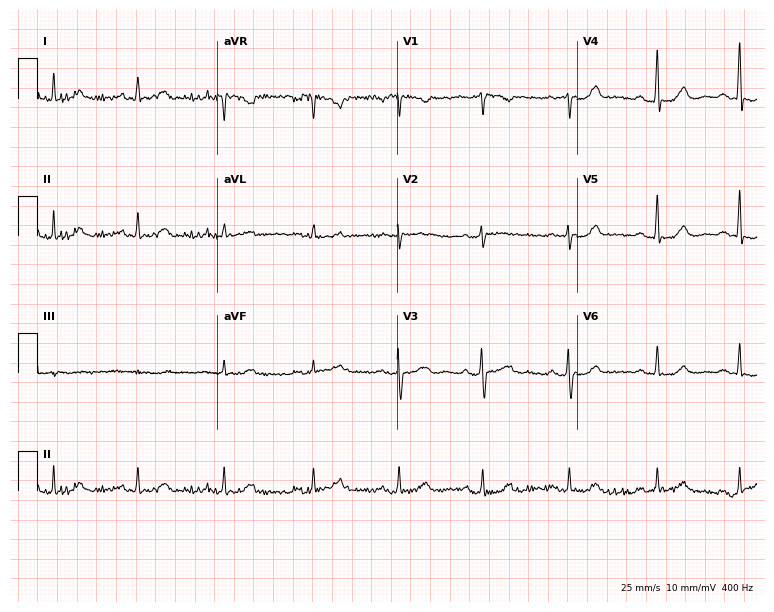
Resting 12-lead electrocardiogram. Patient: a woman, 55 years old. None of these six findings is recorded: first-degree AV block, right bundle branch block, left bundle branch block, sinus bradycardia, atrial fibrillation, sinus tachycardia.